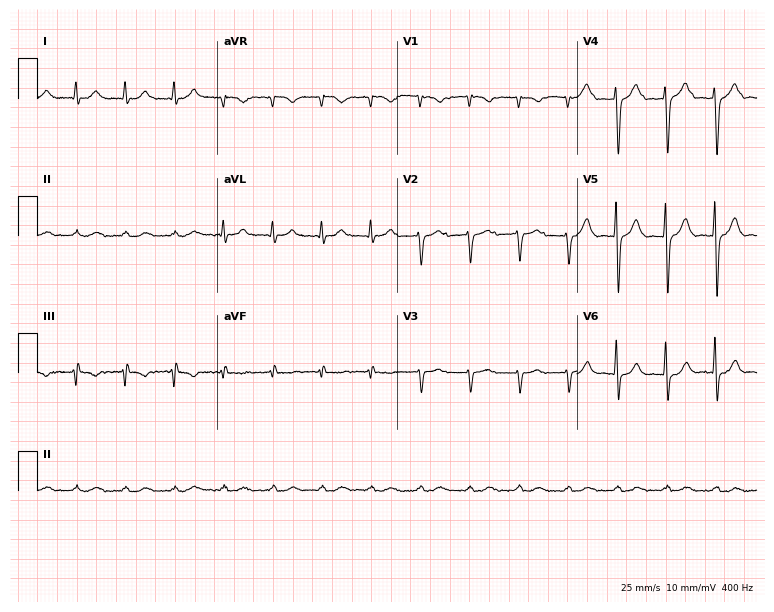
Standard 12-lead ECG recorded from a 79-year-old man (7.3-second recording at 400 Hz). The tracing shows sinus tachycardia (a sinus rate of 100 beats per minute or more).